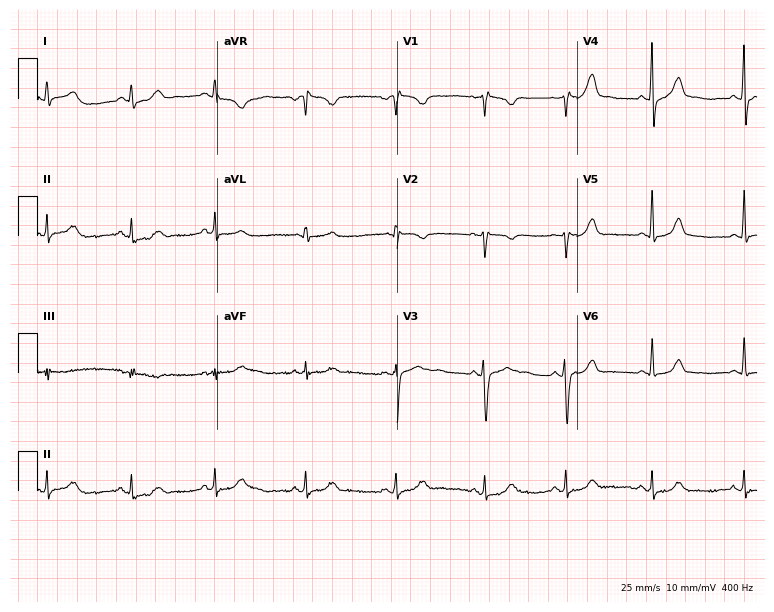
ECG — an 18-year-old female. Labelled as a normal ECG.